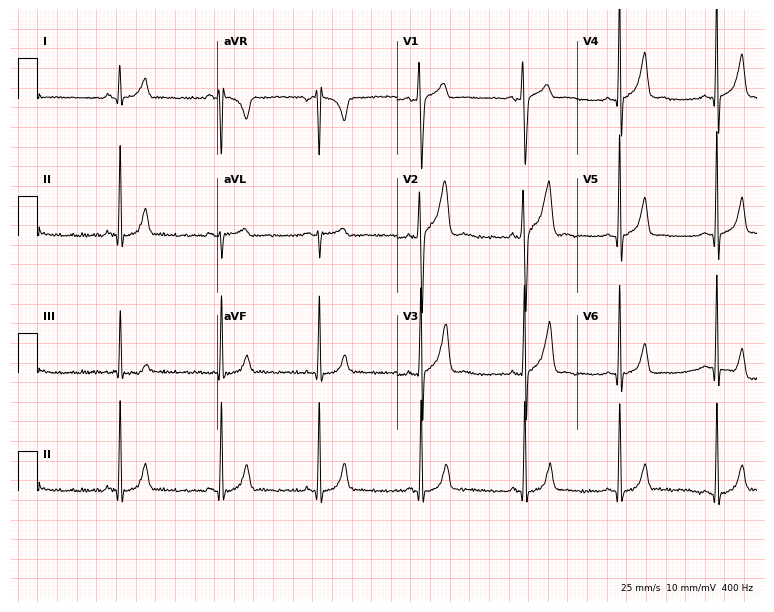
Resting 12-lead electrocardiogram. Patient: a 17-year-old man. None of these six findings is recorded: first-degree AV block, right bundle branch block, left bundle branch block, sinus bradycardia, atrial fibrillation, sinus tachycardia. Only these six findings were labelled.